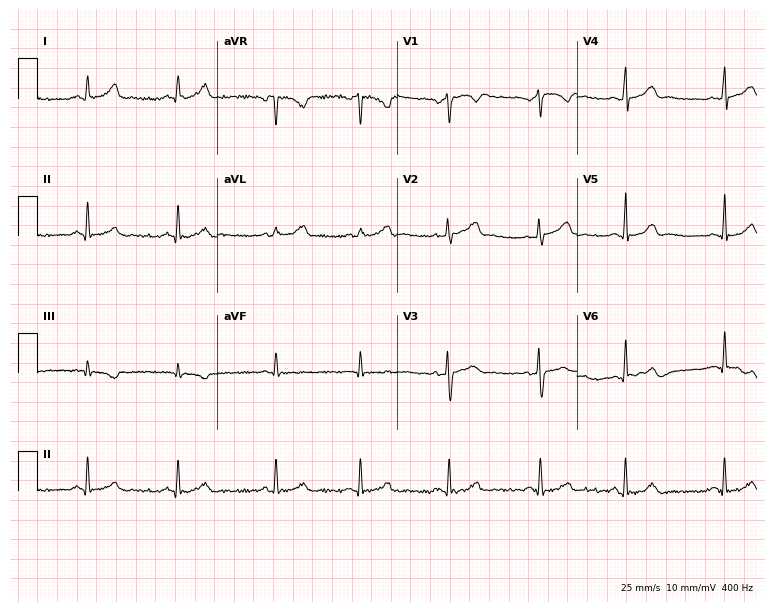
Standard 12-lead ECG recorded from a 34-year-old female (7.3-second recording at 400 Hz). Read as a normal ECG.